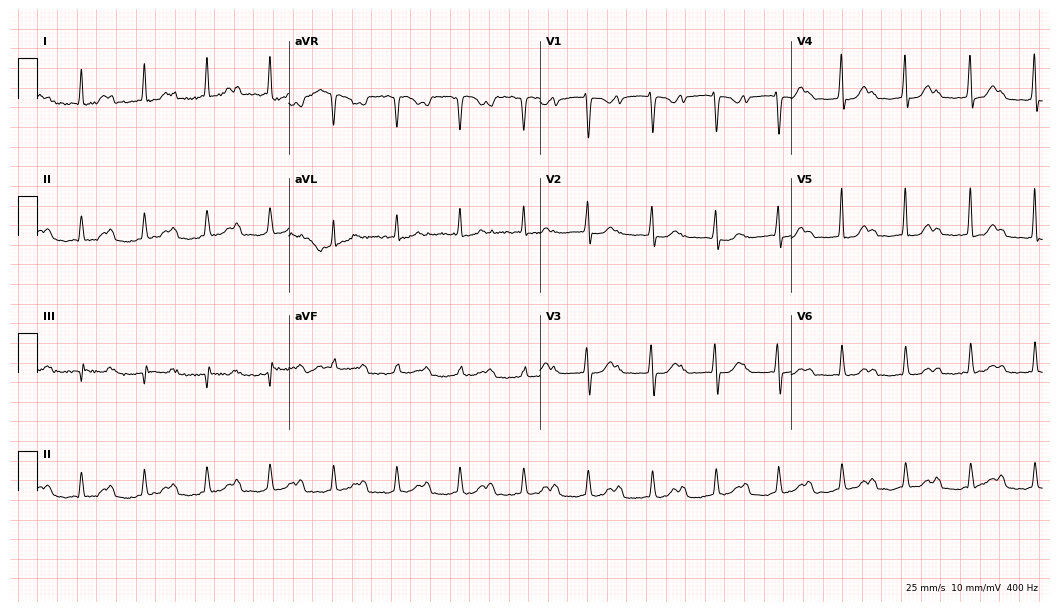
ECG — a 32-year-old female patient. Screened for six findings — first-degree AV block, right bundle branch block (RBBB), left bundle branch block (LBBB), sinus bradycardia, atrial fibrillation (AF), sinus tachycardia — none is recorded.